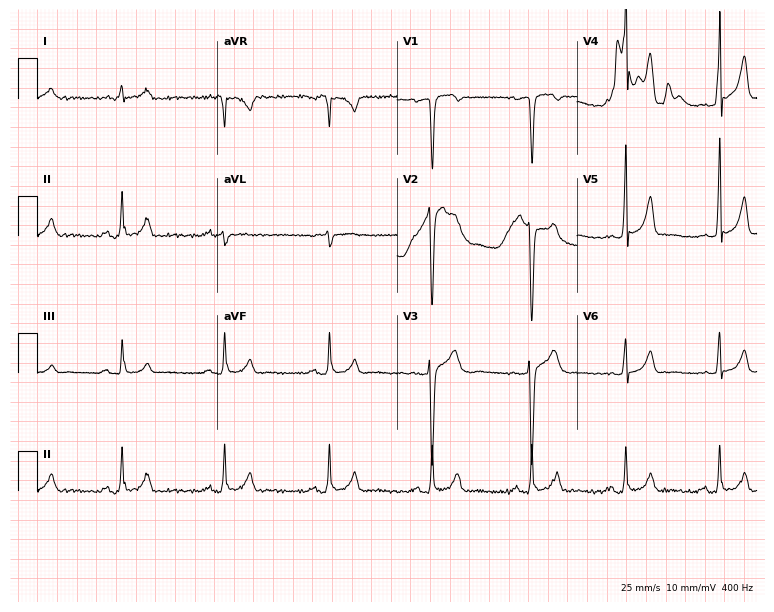
Electrocardiogram (7.3-second recording at 400 Hz), a 34-year-old male patient. Of the six screened findings (first-degree AV block, right bundle branch block (RBBB), left bundle branch block (LBBB), sinus bradycardia, atrial fibrillation (AF), sinus tachycardia), none is recorded. Other findings, if any, are not listed.